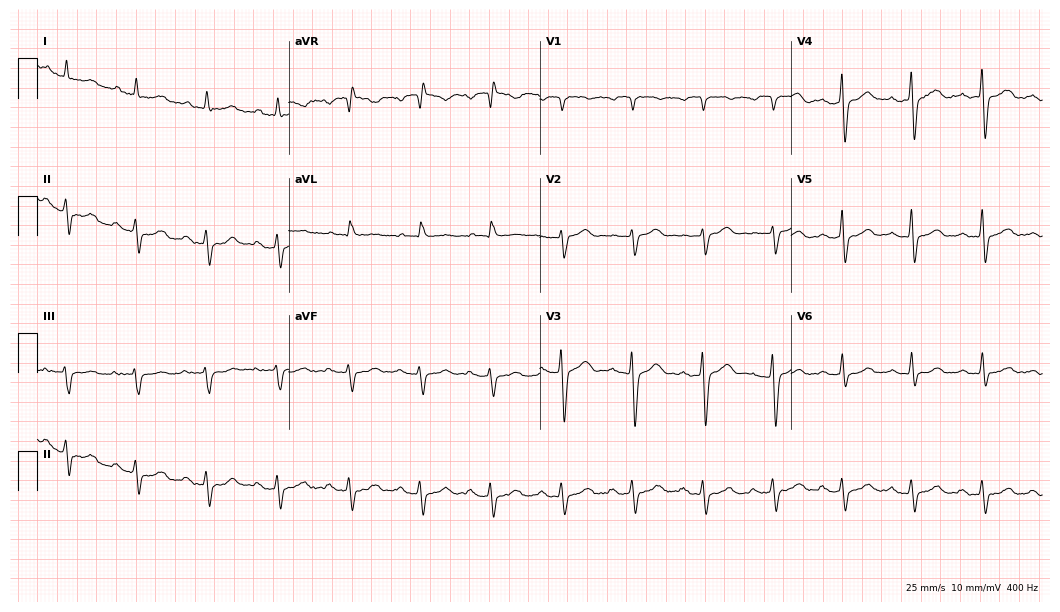
Resting 12-lead electrocardiogram. Patient: a 61-year-old male. None of these six findings is recorded: first-degree AV block, right bundle branch block, left bundle branch block, sinus bradycardia, atrial fibrillation, sinus tachycardia. Only these six findings were labelled.